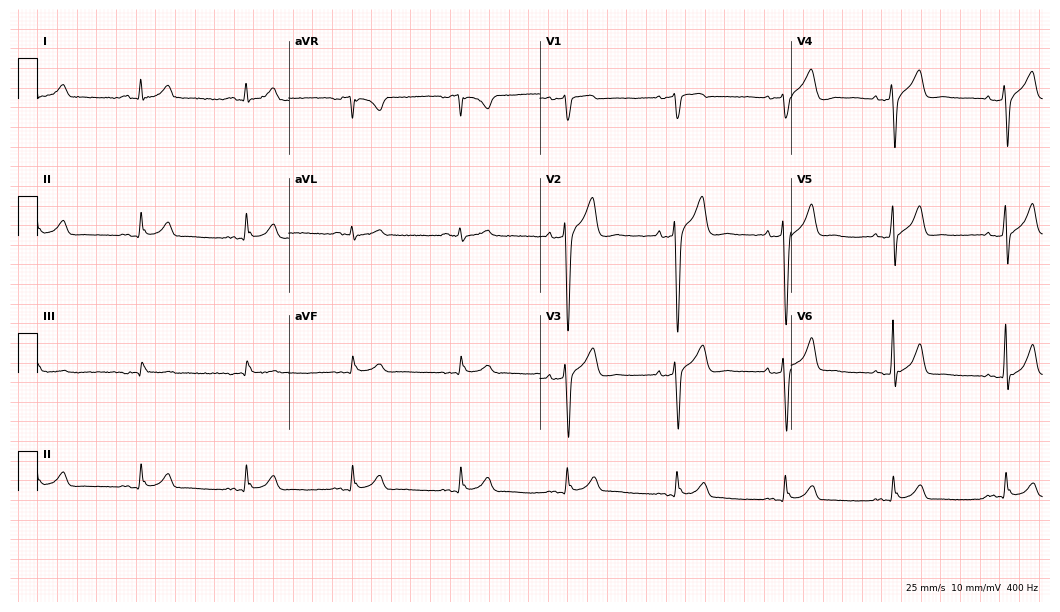
12-lead ECG from a 59-year-old male (10.2-second recording at 400 Hz). No first-degree AV block, right bundle branch block (RBBB), left bundle branch block (LBBB), sinus bradycardia, atrial fibrillation (AF) or sinus tachycardia recorded for this tracing.